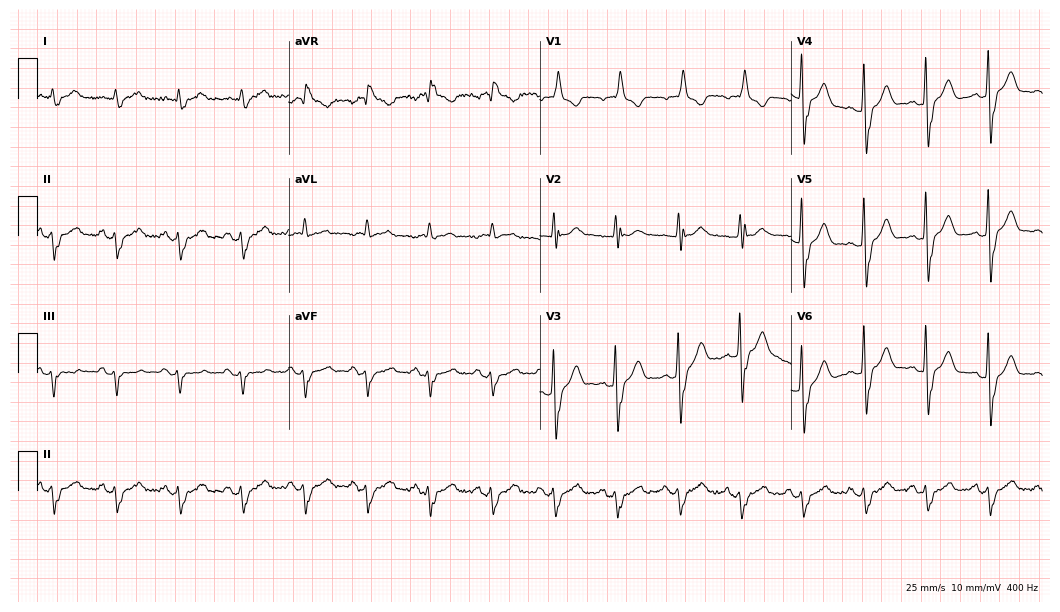
ECG — a male patient, 77 years old. Findings include right bundle branch block (RBBB).